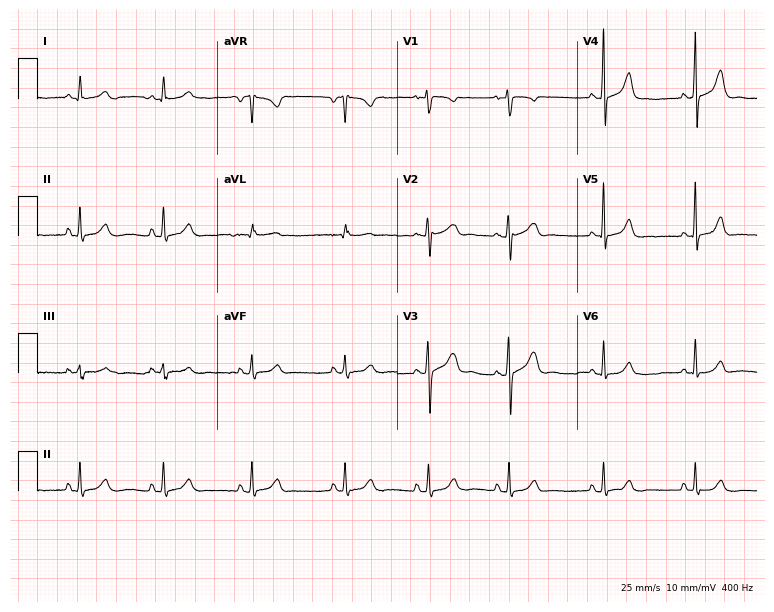
Electrocardiogram, a 23-year-old female patient. Of the six screened findings (first-degree AV block, right bundle branch block (RBBB), left bundle branch block (LBBB), sinus bradycardia, atrial fibrillation (AF), sinus tachycardia), none is recorded.